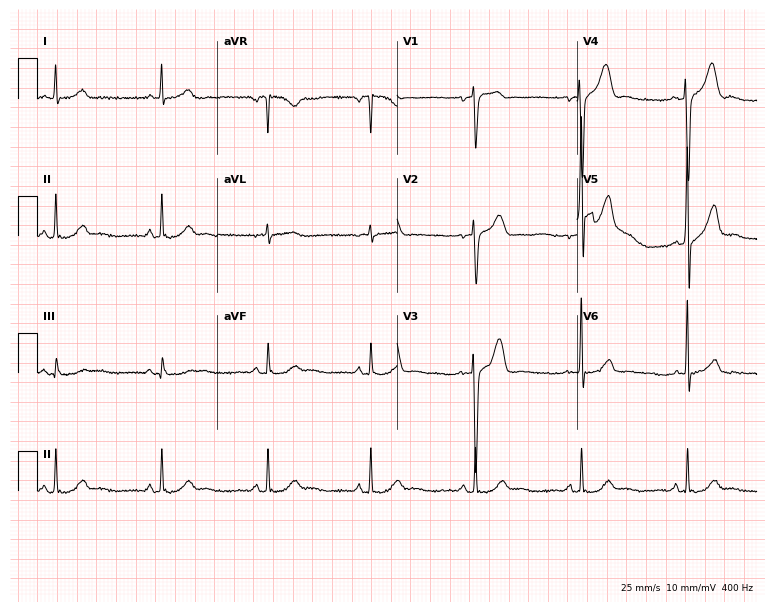
ECG (7.3-second recording at 400 Hz) — a man, 60 years old. Labelled as a normal ECG.